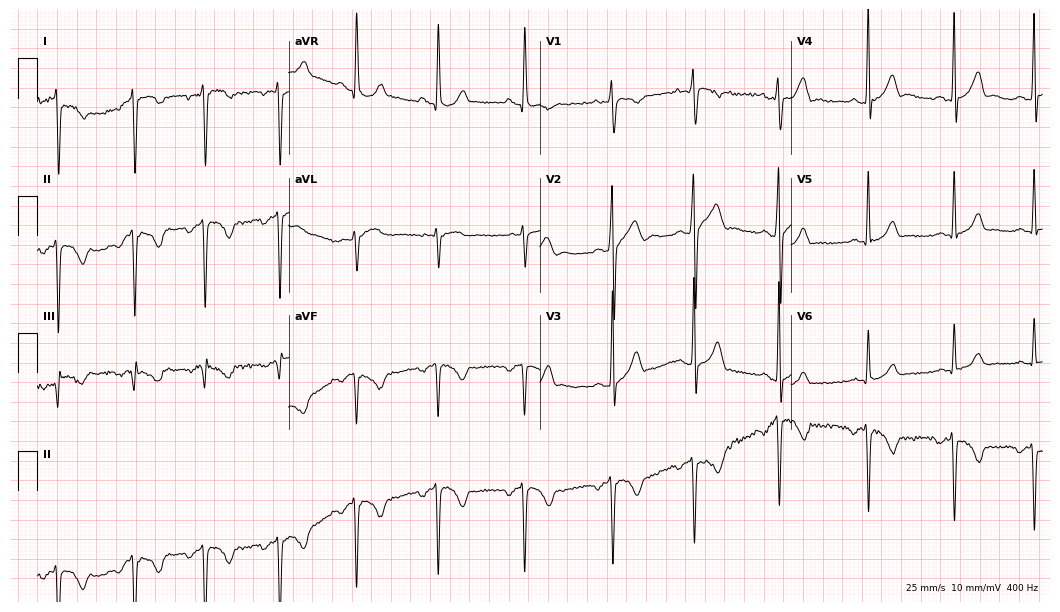
ECG (10.2-second recording at 400 Hz) — a male patient, 20 years old. Screened for six findings — first-degree AV block, right bundle branch block, left bundle branch block, sinus bradycardia, atrial fibrillation, sinus tachycardia — none is recorded.